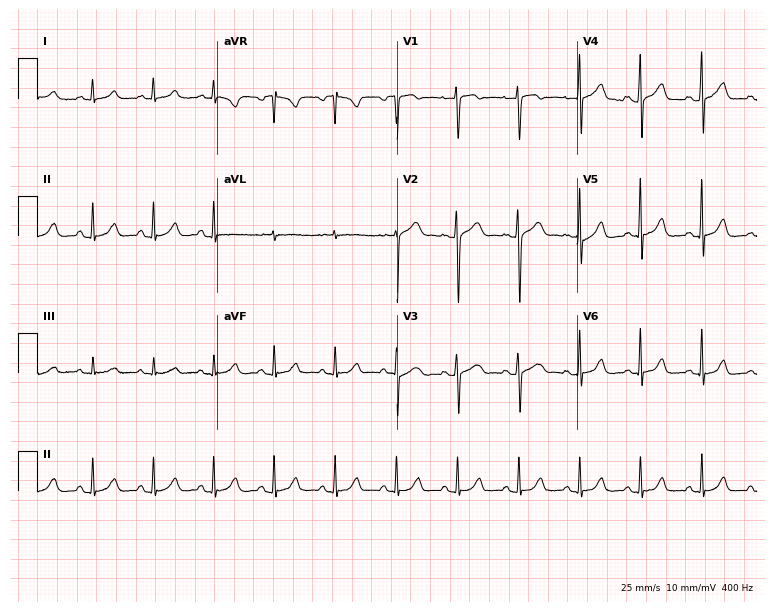
Standard 12-lead ECG recorded from a 42-year-old female patient. Read as a normal ECG.